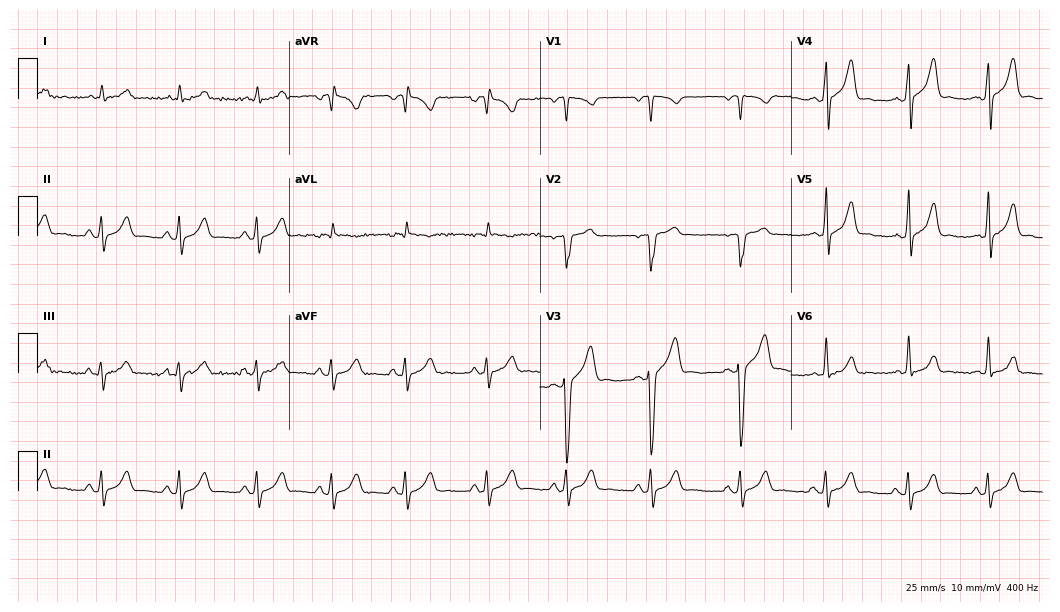
Standard 12-lead ECG recorded from a 47-year-old male patient. Read as a normal ECG.